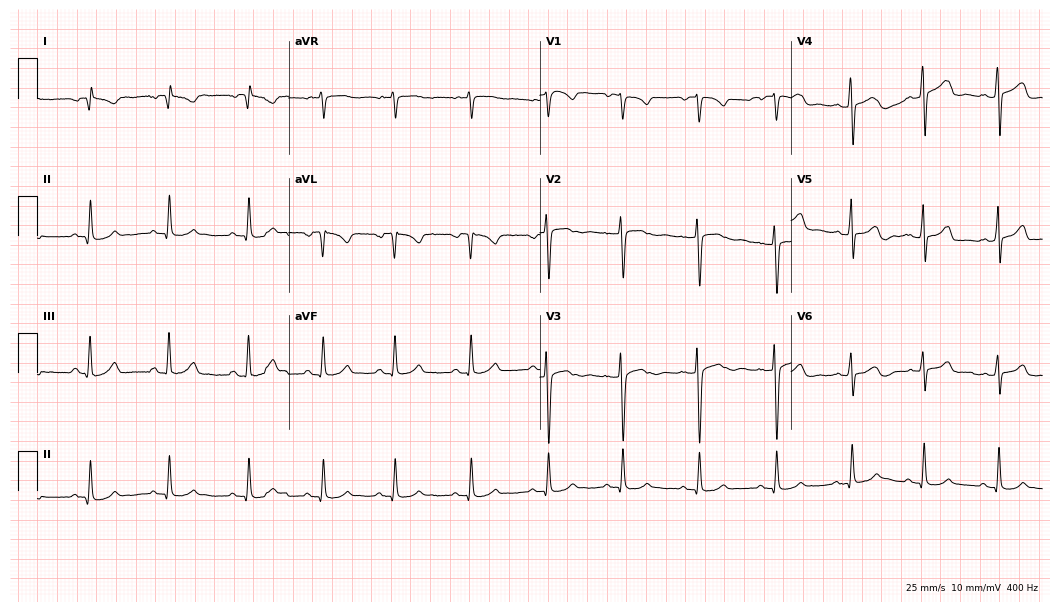
Resting 12-lead electrocardiogram (10.2-second recording at 400 Hz). Patient: a 34-year-old woman. None of these six findings is recorded: first-degree AV block, right bundle branch block, left bundle branch block, sinus bradycardia, atrial fibrillation, sinus tachycardia.